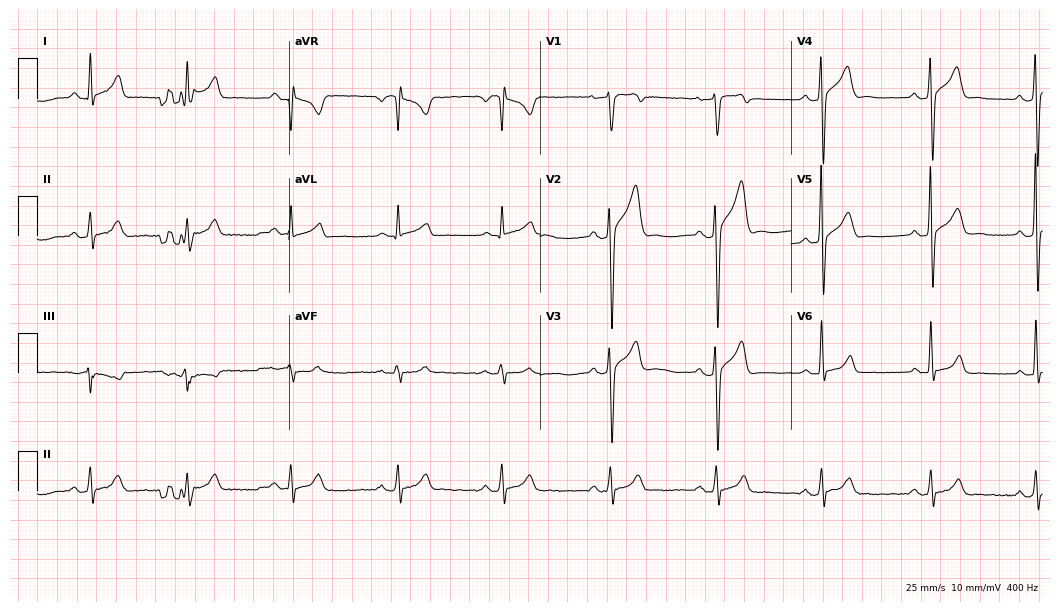
Resting 12-lead electrocardiogram (10.2-second recording at 400 Hz). Patient: a male, 33 years old. None of these six findings is recorded: first-degree AV block, right bundle branch block, left bundle branch block, sinus bradycardia, atrial fibrillation, sinus tachycardia.